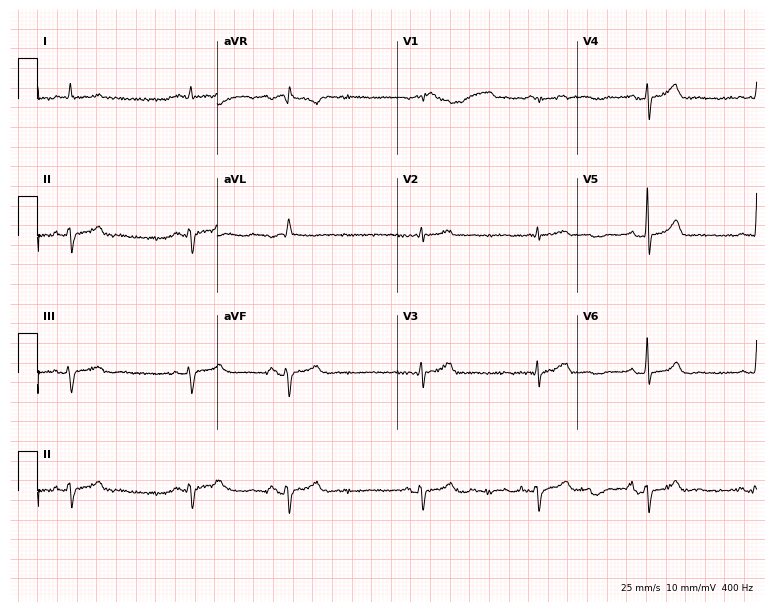
Standard 12-lead ECG recorded from an 83-year-old man. None of these six findings is recorded: first-degree AV block, right bundle branch block, left bundle branch block, sinus bradycardia, atrial fibrillation, sinus tachycardia. Other findings, if any, are not listed.